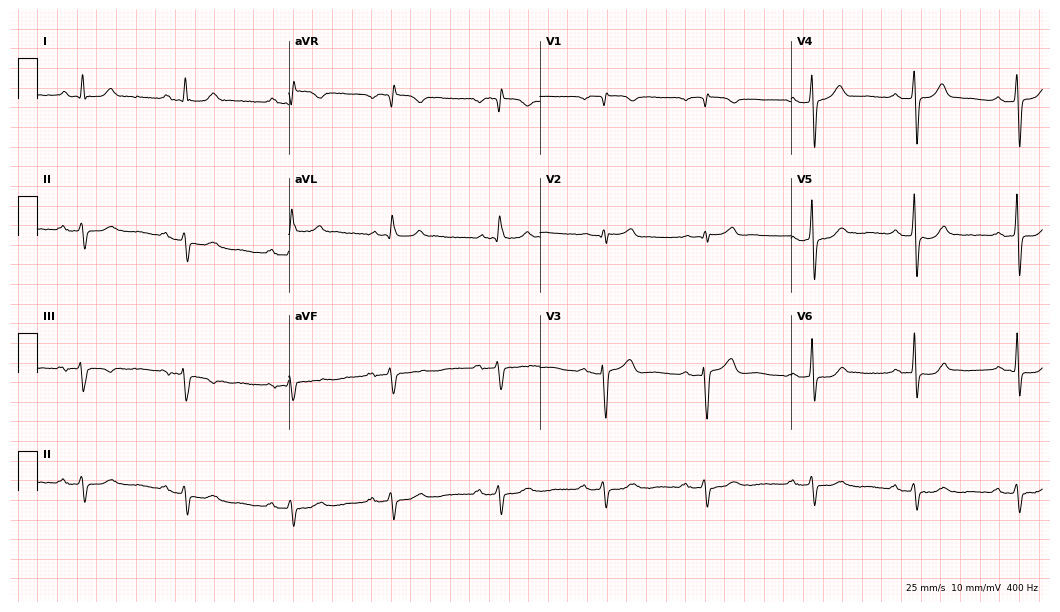
Electrocardiogram (10.2-second recording at 400 Hz), a male, 69 years old. Overall reading on record: normal ECG.